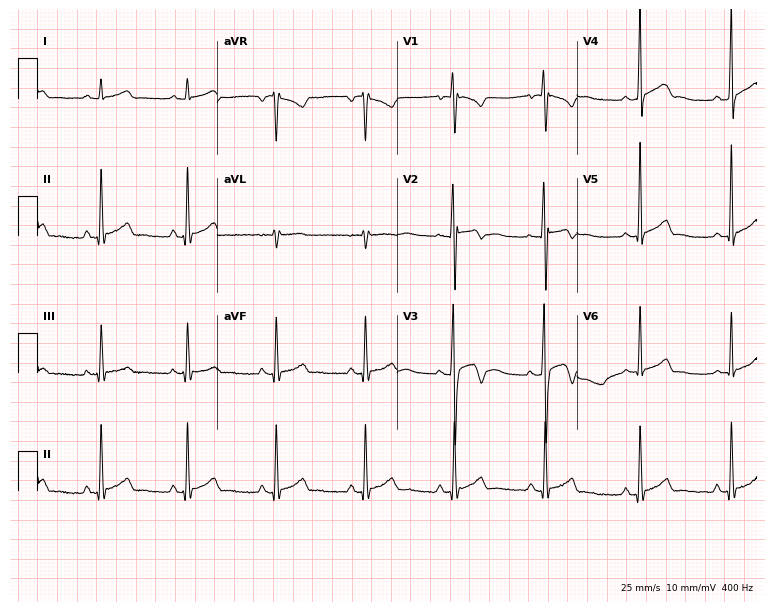
ECG (7.3-second recording at 400 Hz) — an 18-year-old man. Screened for six findings — first-degree AV block, right bundle branch block, left bundle branch block, sinus bradycardia, atrial fibrillation, sinus tachycardia — none is recorded. Only these six findings were labelled.